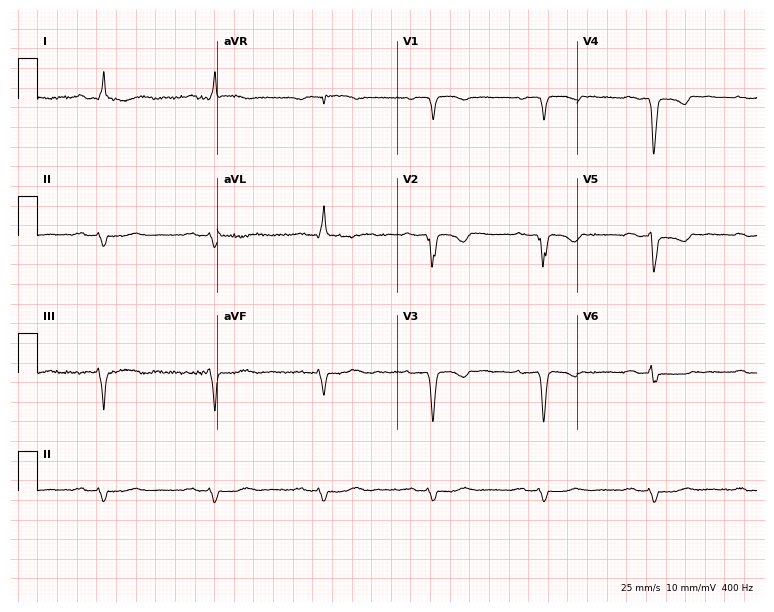
ECG — a male patient, 79 years old. Screened for six findings — first-degree AV block, right bundle branch block, left bundle branch block, sinus bradycardia, atrial fibrillation, sinus tachycardia — none is recorded. Only these six findings were labelled.